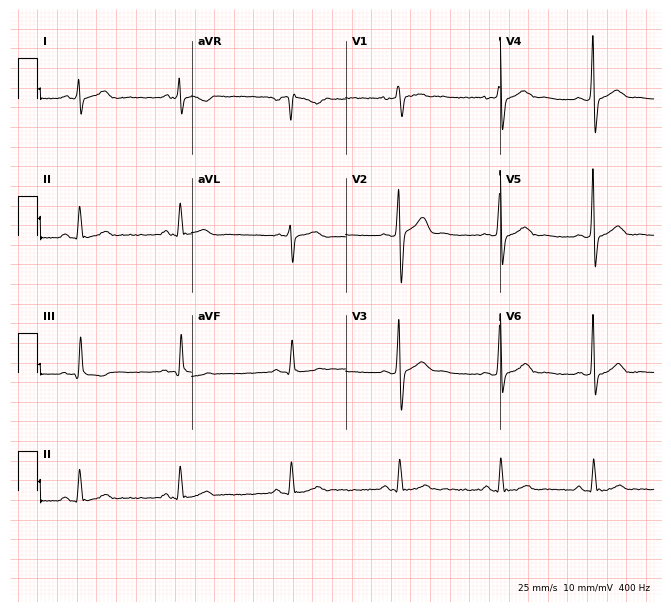
Electrocardiogram, a man, 37 years old. Of the six screened findings (first-degree AV block, right bundle branch block (RBBB), left bundle branch block (LBBB), sinus bradycardia, atrial fibrillation (AF), sinus tachycardia), none is recorded.